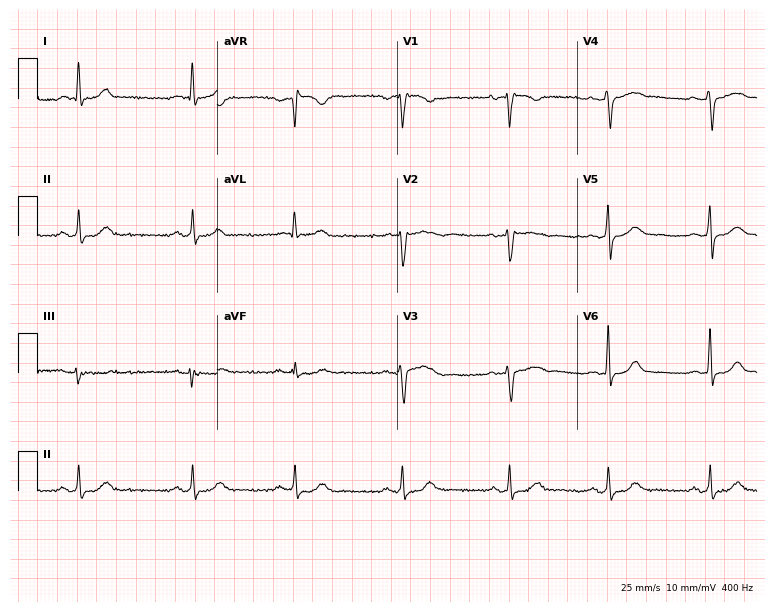
Standard 12-lead ECG recorded from a female patient, 48 years old (7.3-second recording at 400 Hz). None of these six findings is recorded: first-degree AV block, right bundle branch block, left bundle branch block, sinus bradycardia, atrial fibrillation, sinus tachycardia.